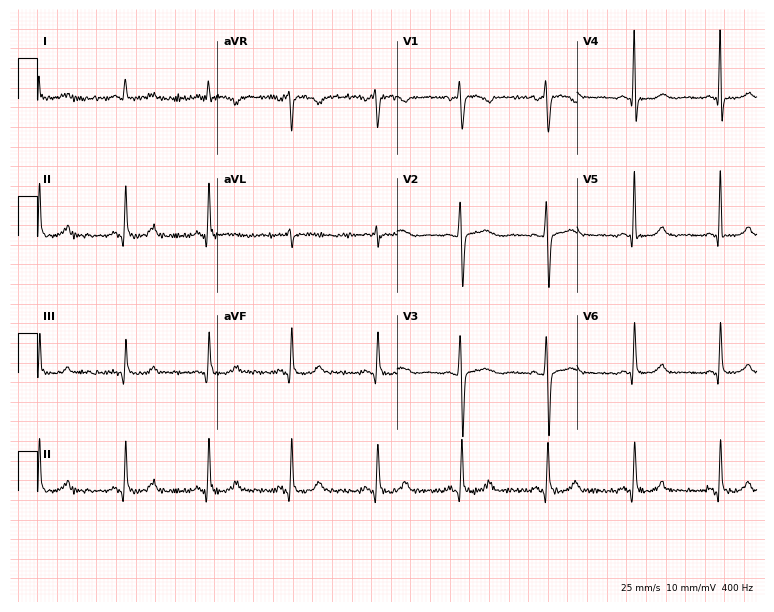
Electrocardiogram (7.3-second recording at 400 Hz), a 43-year-old female. Of the six screened findings (first-degree AV block, right bundle branch block (RBBB), left bundle branch block (LBBB), sinus bradycardia, atrial fibrillation (AF), sinus tachycardia), none is recorded.